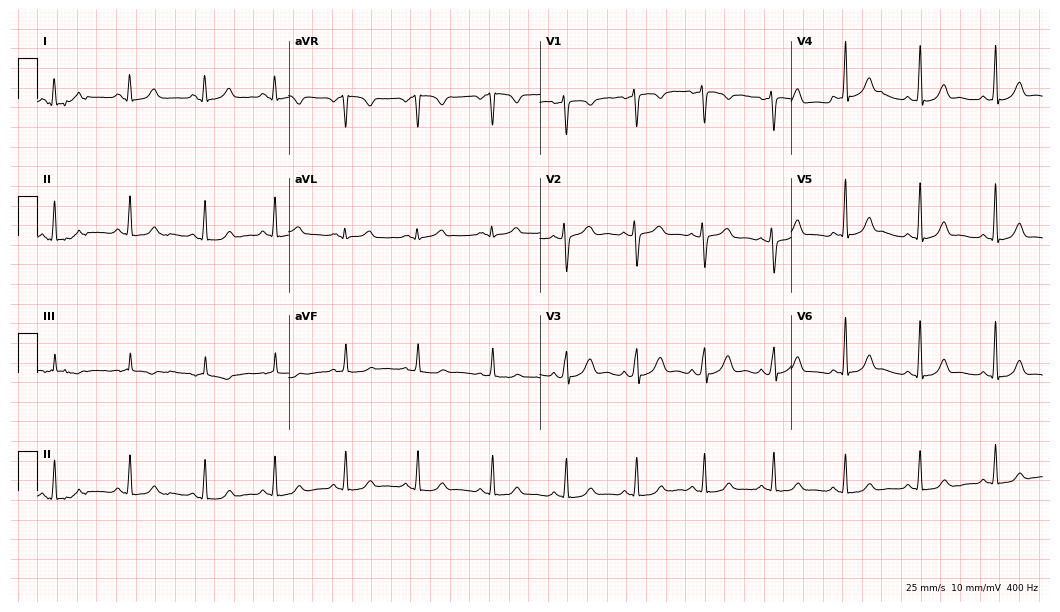
12-lead ECG (10.2-second recording at 400 Hz) from a 28-year-old woman. Labelled as a normal ECG.